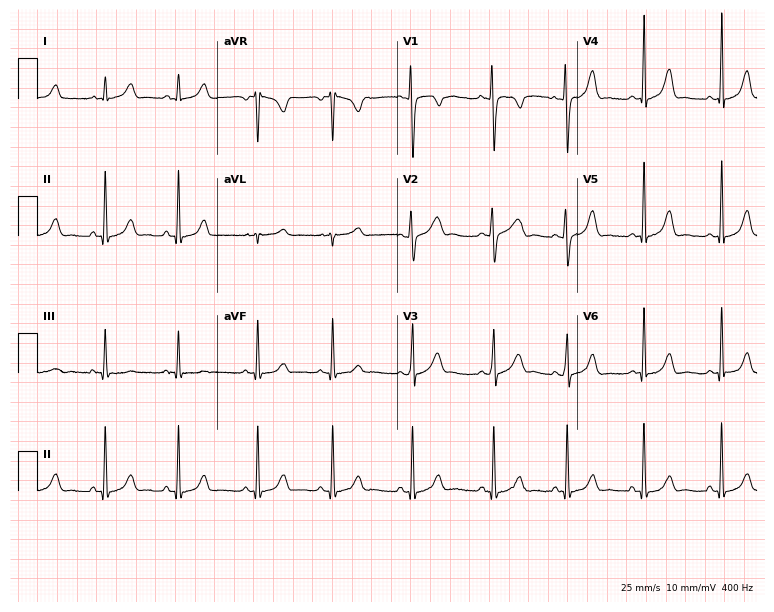
12-lead ECG from an 18-year-old female. Recorded interpretation: within normal limits.